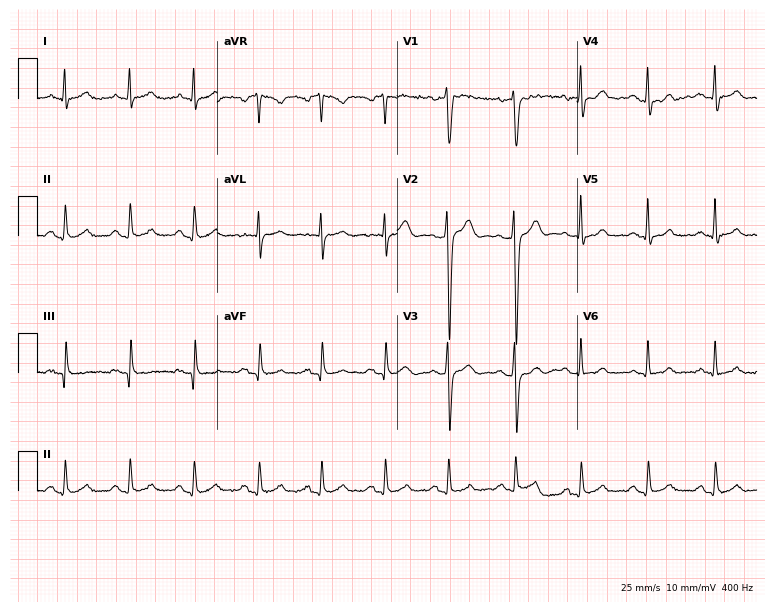
Electrocardiogram, a male, 36 years old. Overall reading on record: normal ECG.